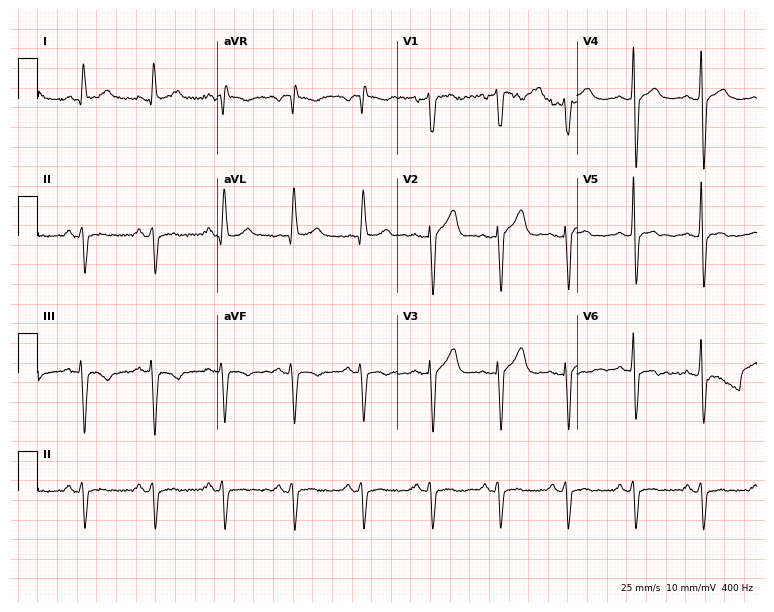
Electrocardiogram (7.3-second recording at 400 Hz), a 60-year-old male patient. Of the six screened findings (first-degree AV block, right bundle branch block (RBBB), left bundle branch block (LBBB), sinus bradycardia, atrial fibrillation (AF), sinus tachycardia), none is recorded. Findings outside these six are not listed.